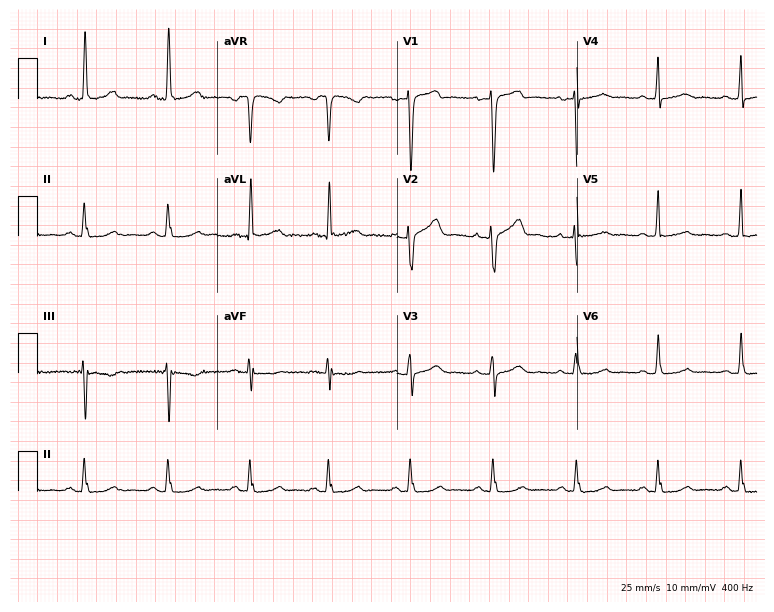
12-lead ECG from a female patient, 49 years old. Recorded interpretation: within normal limits.